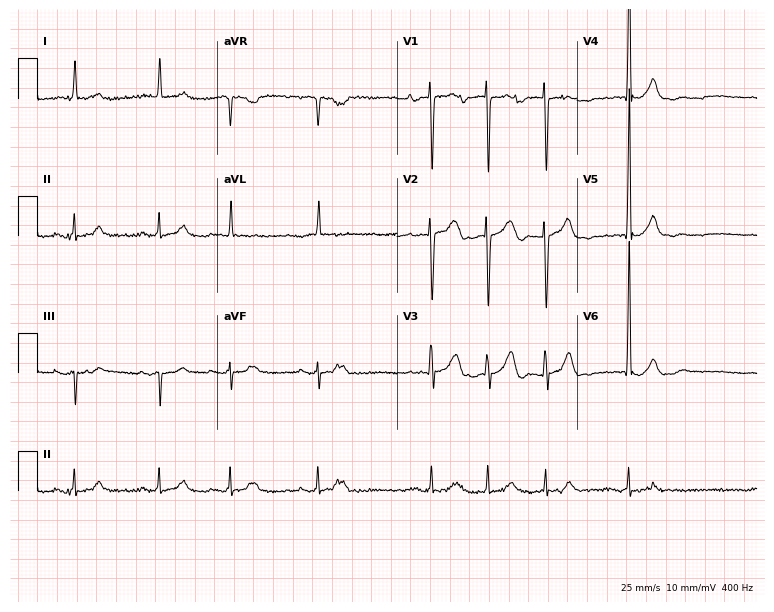
ECG (7.3-second recording at 400 Hz) — a 78-year-old woman. Screened for six findings — first-degree AV block, right bundle branch block, left bundle branch block, sinus bradycardia, atrial fibrillation, sinus tachycardia — none is recorded. Other findings, if any, are not listed.